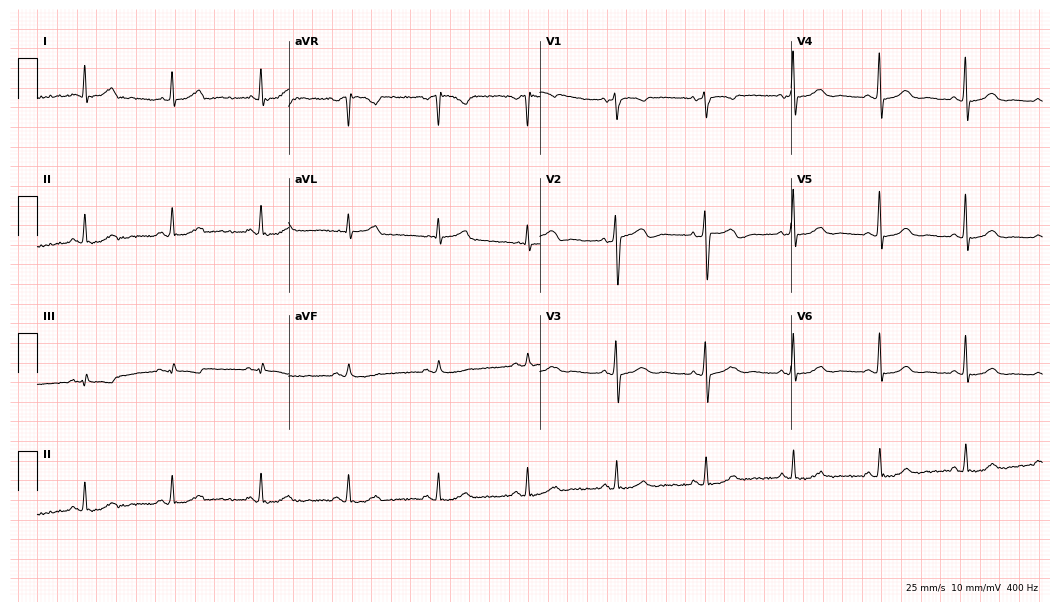
12-lead ECG from a woman, 66 years old. Recorded interpretation: within normal limits.